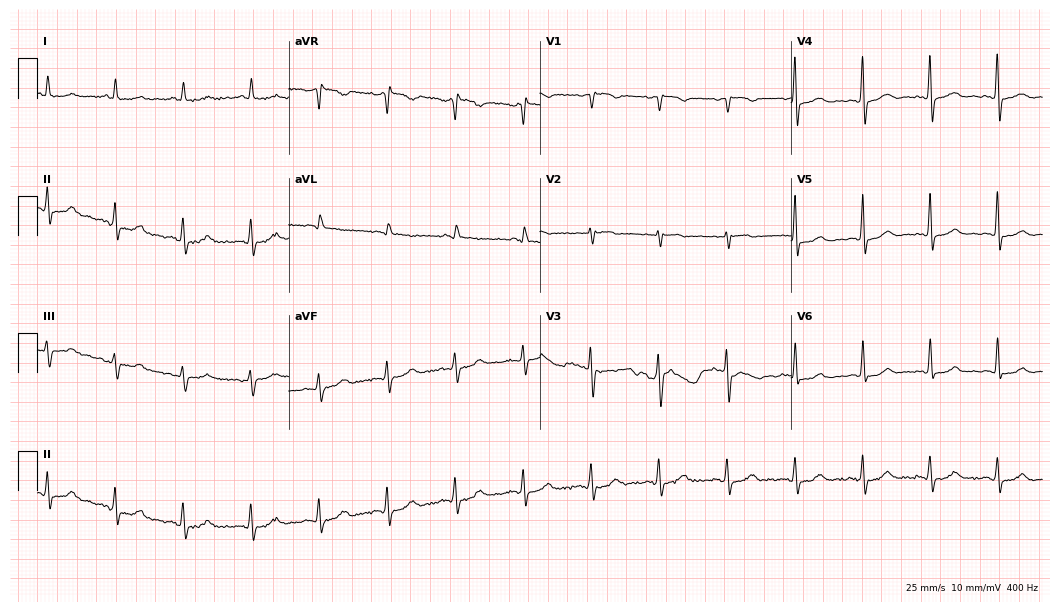
Electrocardiogram (10.2-second recording at 400 Hz), a female, 78 years old. Of the six screened findings (first-degree AV block, right bundle branch block, left bundle branch block, sinus bradycardia, atrial fibrillation, sinus tachycardia), none is recorded.